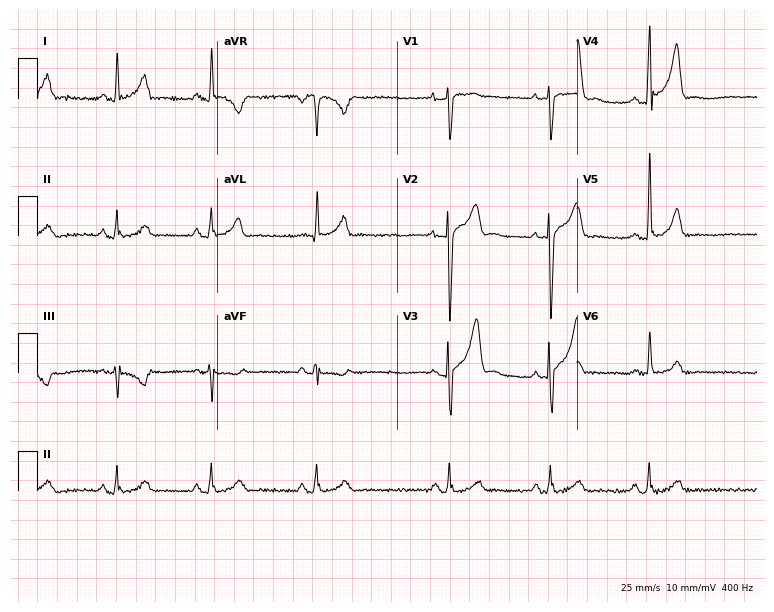
Standard 12-lead ECG recorded from a 26-year-old male (7.3-second recording at 400 Hz). Read as a normal ECG.